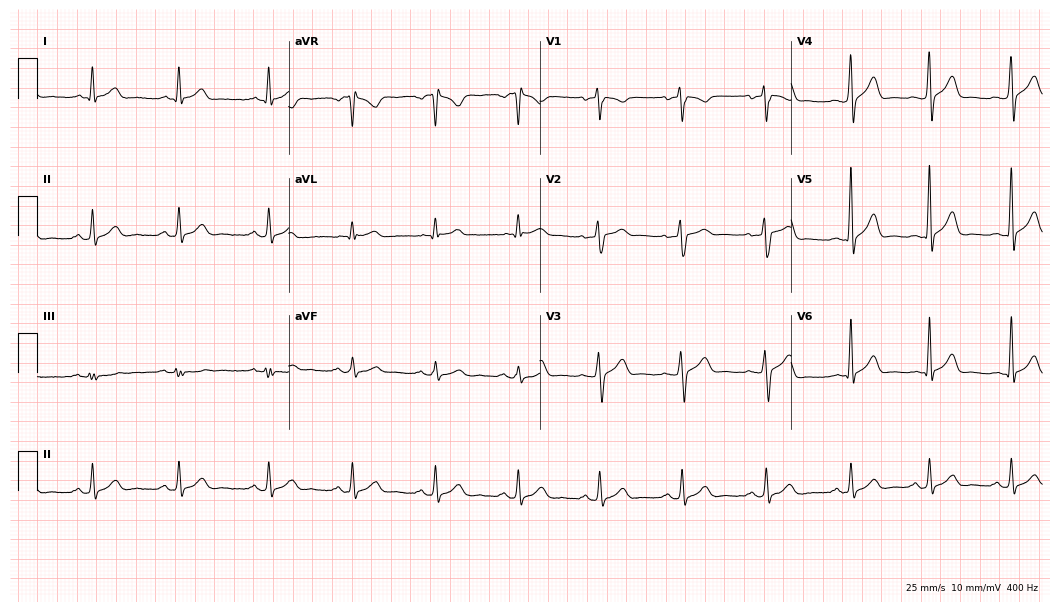
Standard 12-lead ECG recorded from a 38-year-old male patient. Read as a normal ECG.